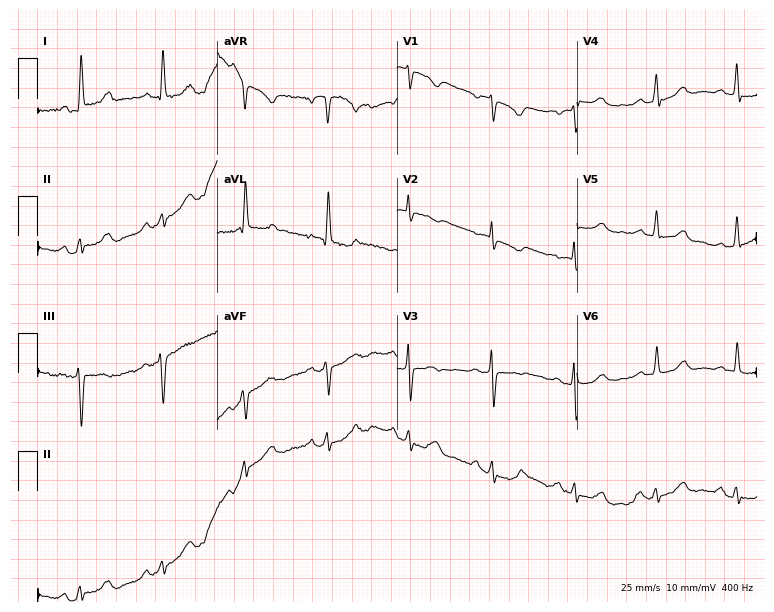
Standard 12-lead ECG recorded from a 73-year-old woman. None of these six findings is recorded: first-degree AV block, right bundle branch block (RBBB), left bundle branch block (LBBB), sinus bradycardia, atrial fibrillation (AF), sinus tachycardia. Only these six findings were labelled.